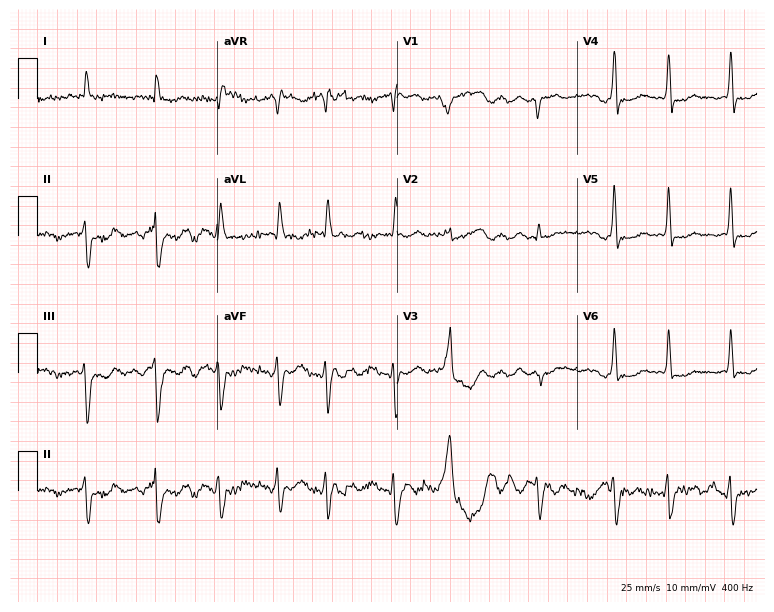
12-lead ECG from an 84-year-old male (7.3-second recording at 400 Hz). No first-degree AV block, right bundle branch block, left bundle branch block, sinus bradycardia, atrial fibrillation or sinus tachycardia recorded for this tracing. Findings outside these six are not listed.